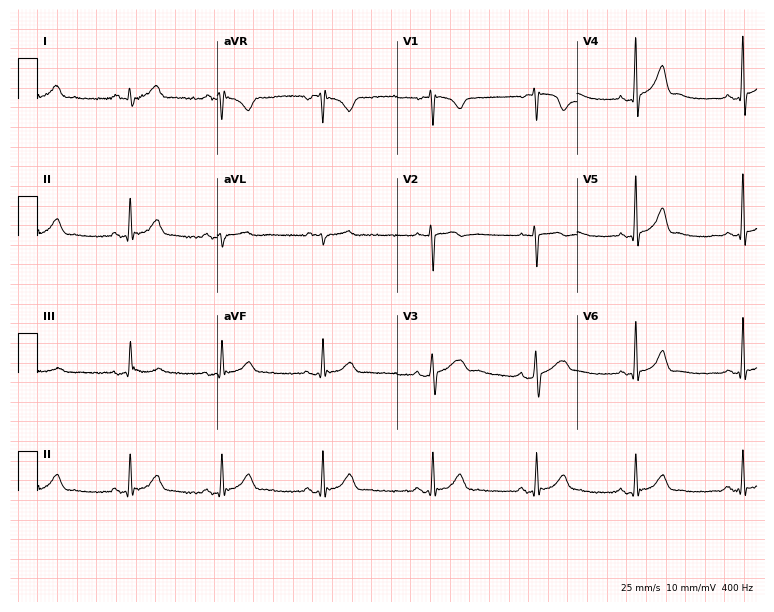
ECG — a male patient, 22 years old. Labelled as a normal ECG.